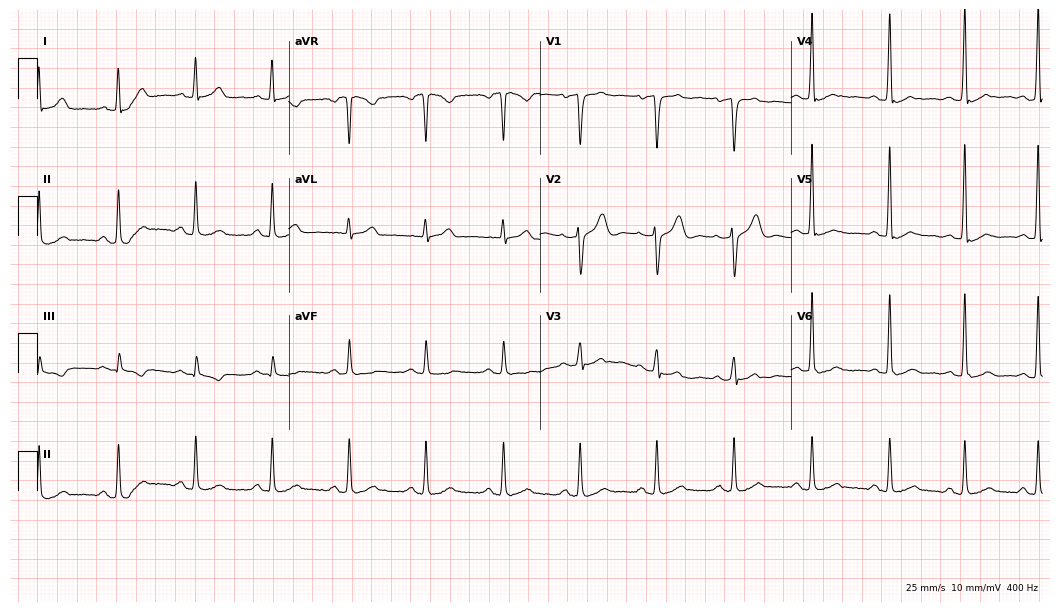
Resting 12-lead electrocardiogram (10.2-second recording at 400 Hz). Patient: a male, 41 years old. Read as a normal ECG.